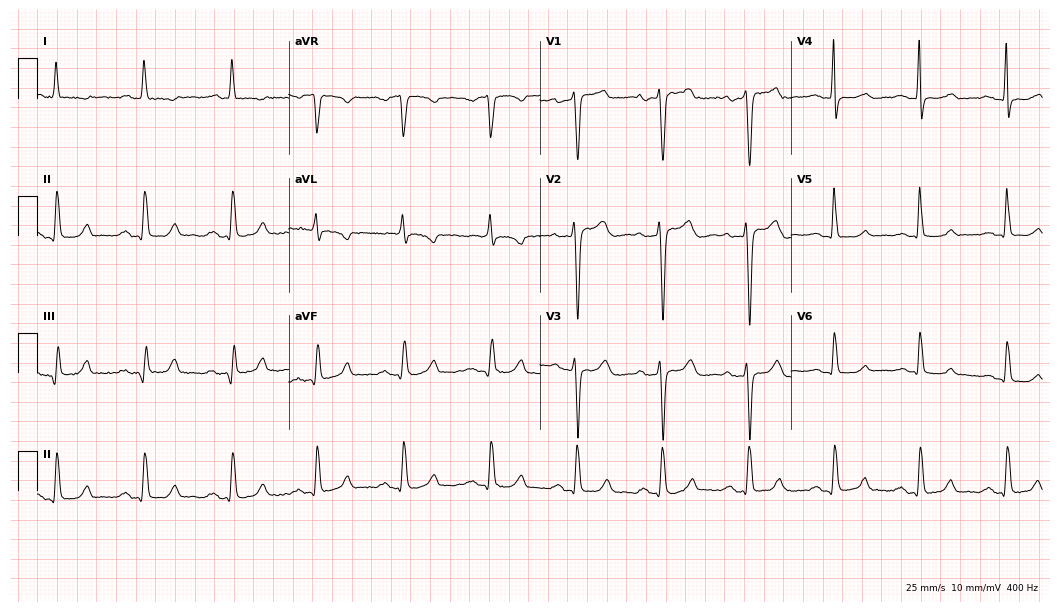
Resting 12-lead electrocardiogram. Patient: a female, 47 years old. None of these six findings is recorded: first-degree AV block, right bundle branch block, left bundle branch block, sinus bradycardia, atrial fibrillation, sinus tachycardia. Only these six findings were labelled.